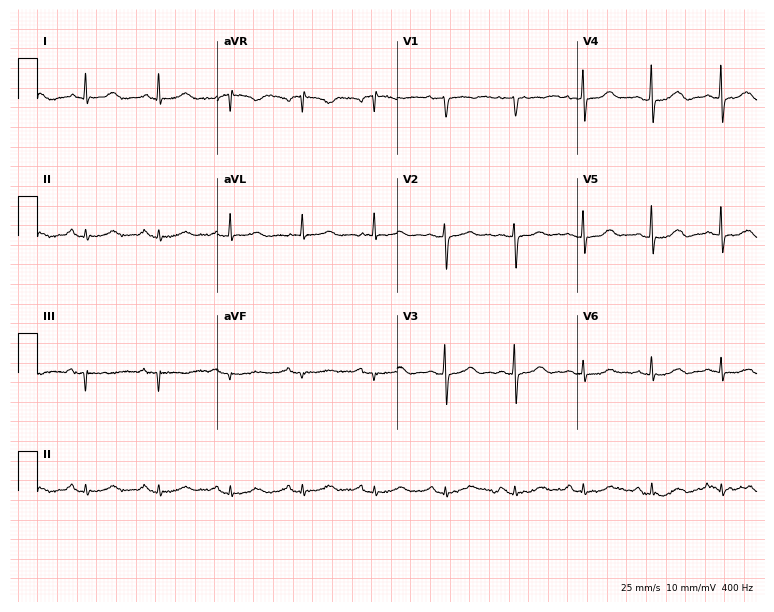
Electrocardiogram (7.3-second recording at 400 Hz), a 66-year-old female patient. Overall reading on record: normal ECG.